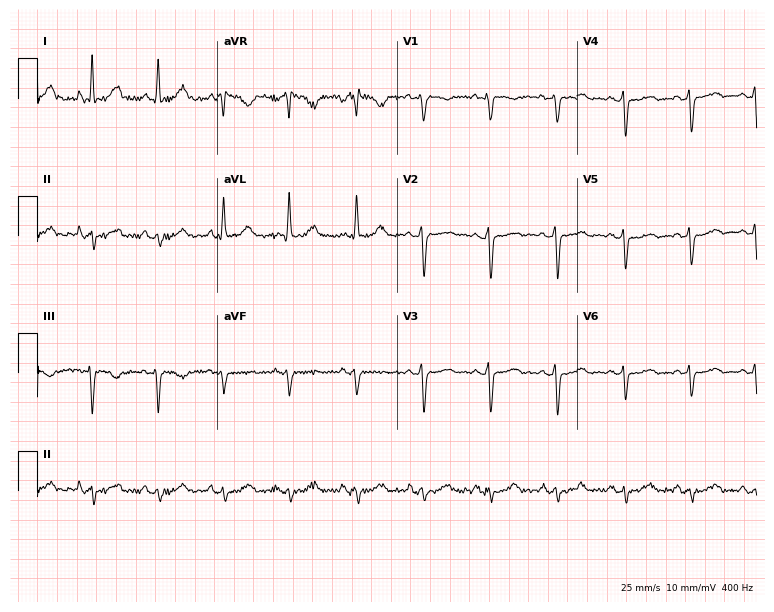
ECG (7.3-second recording at 400 Hz) — a female patient, 48 years old. Screened for six findings — first-degree AV block, right bundle branch block (RBBB), left bundle branch block (LBBB), sinus bradycardia, atrial fibrillation (AF), sinus tachycardia — none is recorded. Findings outside these six are not listed.